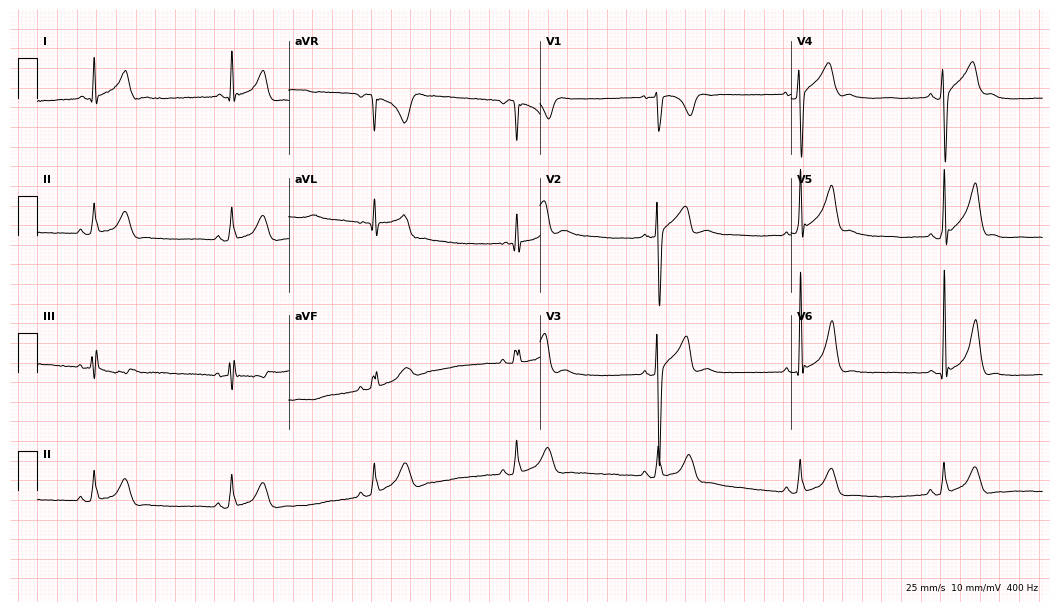
12-lead ECG (10.2-second recording at 400 Hz) from a man, 32 years old. Findings include sinus bradycardia (a sinus rate of 50 beats per minute or less).